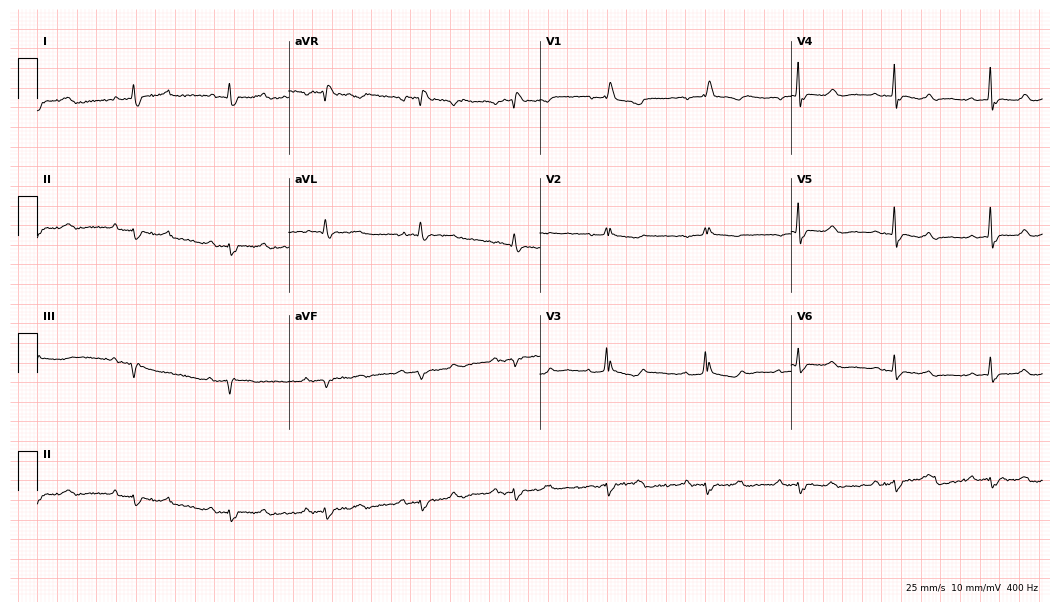
Standard 12-lead ECG recorded from a woman, 82 years old. The tracing shows right bundle branch block.